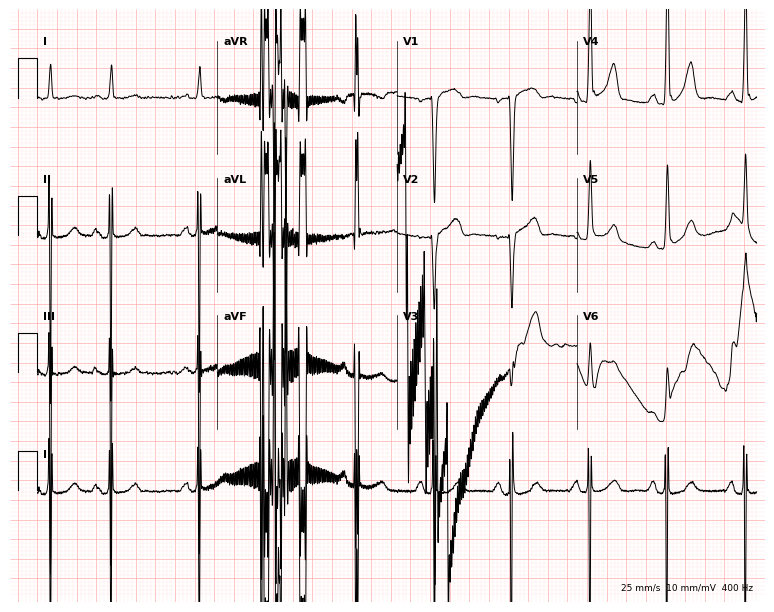
ECG — a 74-year-old woman. Screened for six findings — first-degree AV block, right bundle branch block (RBBB), left bundle branch block (LBBB), sinus bradycardia, atrial fibrillation (AF), sinus tachycardia — none is recorded. Only these six findings were labelled.